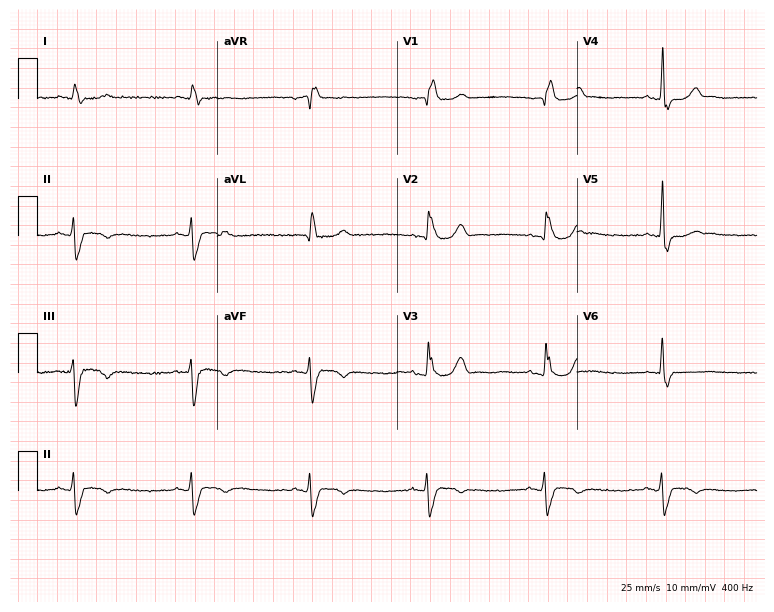
12-lead ECG from a 73-year-old man. Shows right bundle branch block (RBBB), sinus bradycardia (a sinus rate of 50 beats per minute or less).